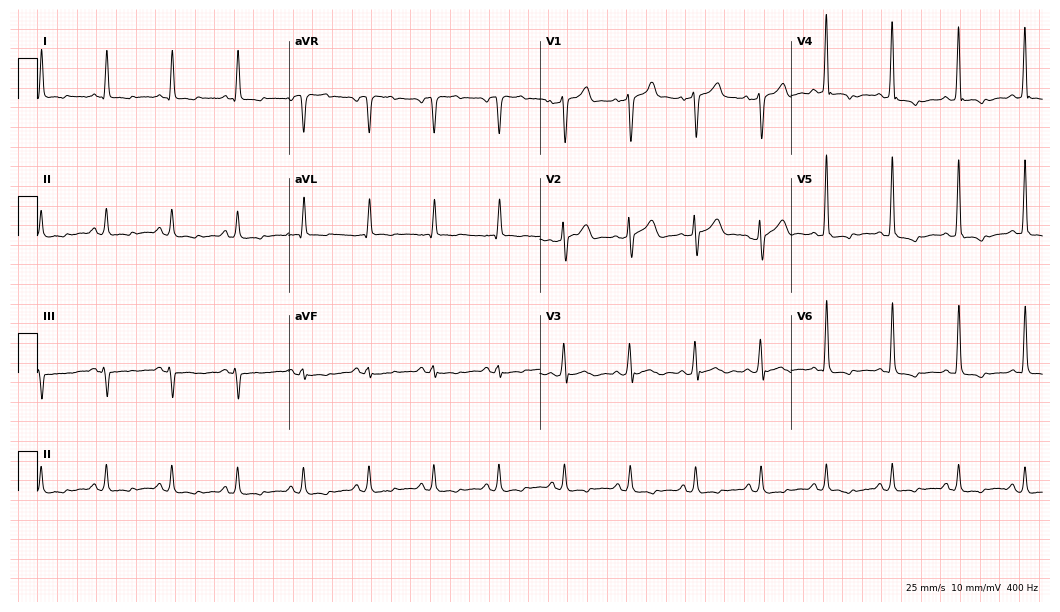
12-lead ECG (10.2-second recording at 400 Hz) from a man, 63 years old. Screened for six findings — first-degree AV block, right bundle branch block (RBBB), left bundle branch block (LBBB), sinus bradycardia, atrial fibrillation (AF), sinus tachycardia — none is recorded.